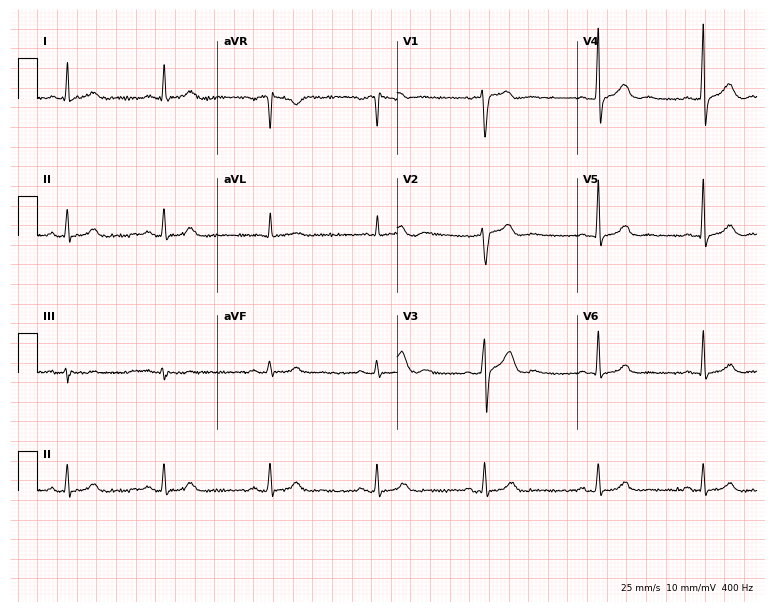
Electrocardiogram (7.3-second recording at 400 Hz), a male, 38 years old. Of the six screened findings (first-degree AV block, right bundle branch block, left bundle branch block, sinus bradycardia, atrial fibrillation, sinus tachycardia), none is recorded.